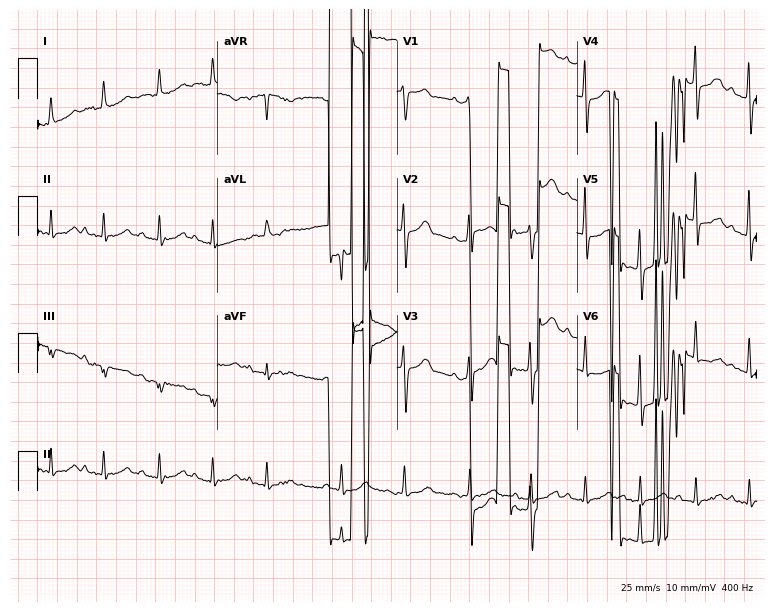
12-lead ECG from a woman, 81 years old. Screened for six findings — first-degree AV block, right bundle branch block, left bundle branch block, sinus bradycardia, atrial fibrillation, sinus tachycardia — none is recorded.